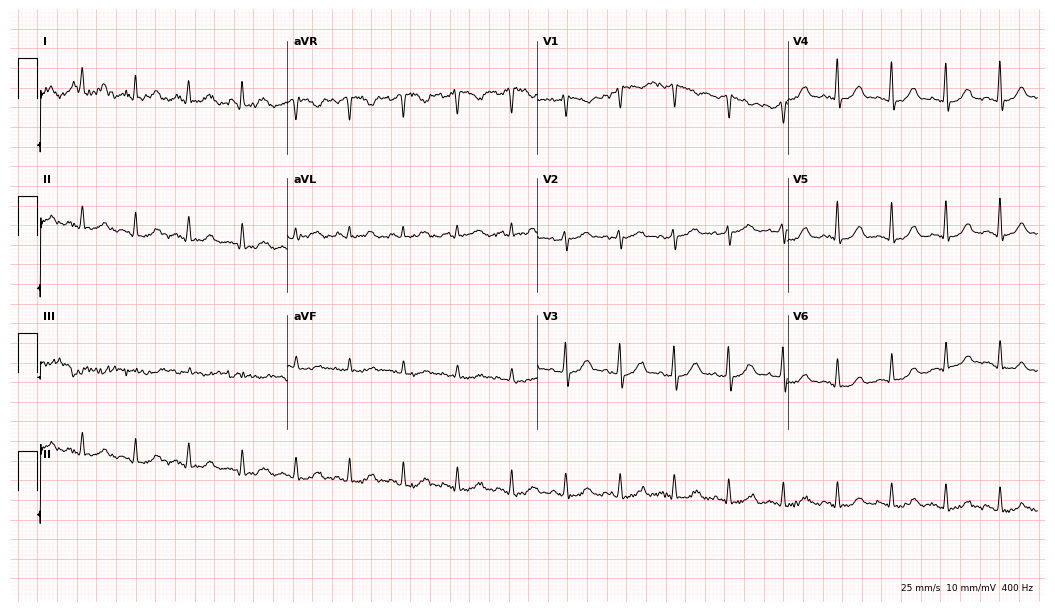
Standard 12-lead ECG recorded from a female patient, 44 years old (10.2-second recording at 400 Hz). The tracing shows sinus tachycardia (a sinus rate of 100 beats per minute or more).